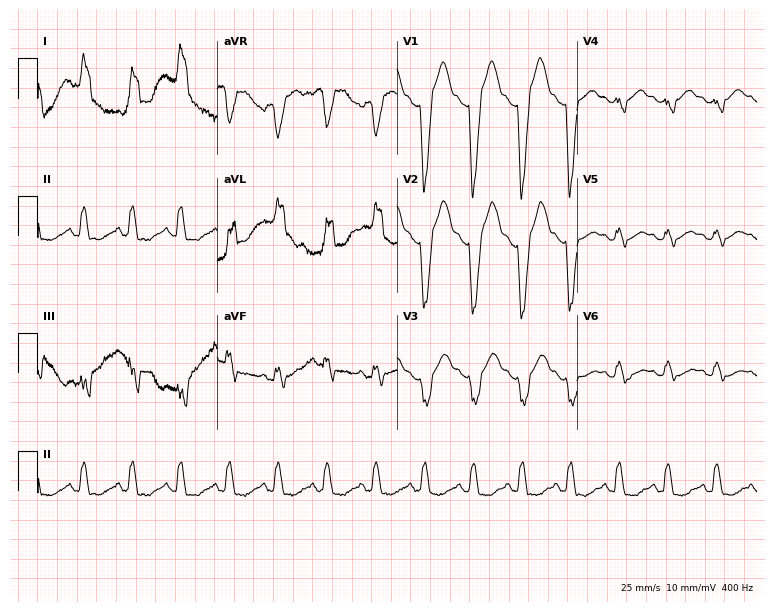
Electrocardiogram (7.3-second recording at 400 Hz), a 48-year-old female. Interpretation includes left bundle branch block (LBBB), sinus tachycardia (a sinus rate of 100 beats per minute or more).